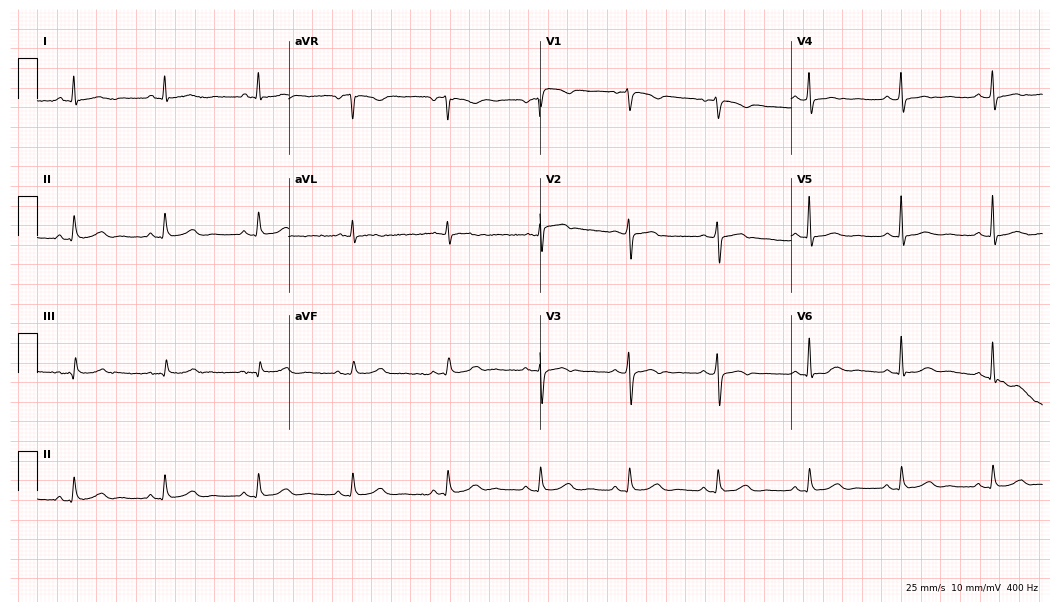
ECG (10.2-second recording at 400 Hz) — a woman, 60 years old. Labelled as a normal ECG.